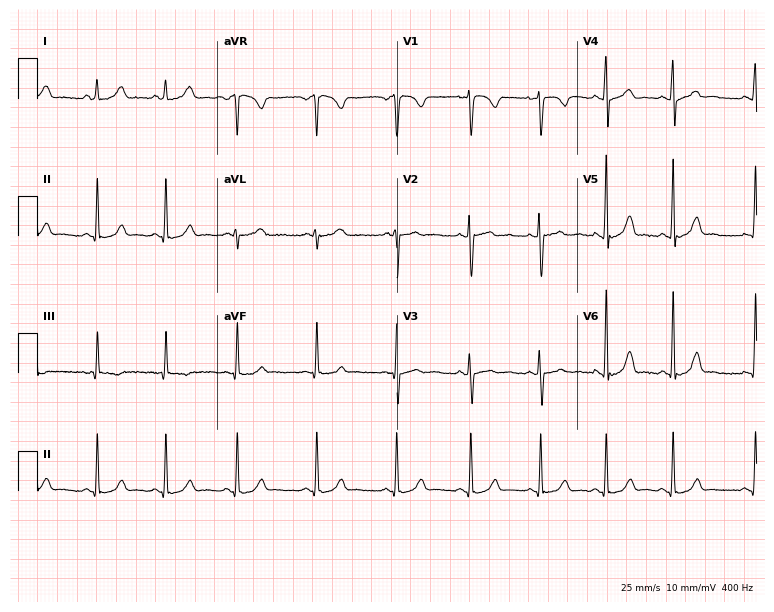
Standard 12-lead ECG recorded from a woman, 17 years old (7.3-second recording at 400 Hz). None of these six findings is recorded: first-degree AV block, right bundle branch block (RBBB), left bundle branch block (LBBB), sinus bradycardia, atrial fibrillation (AF), sinus tachycardia.